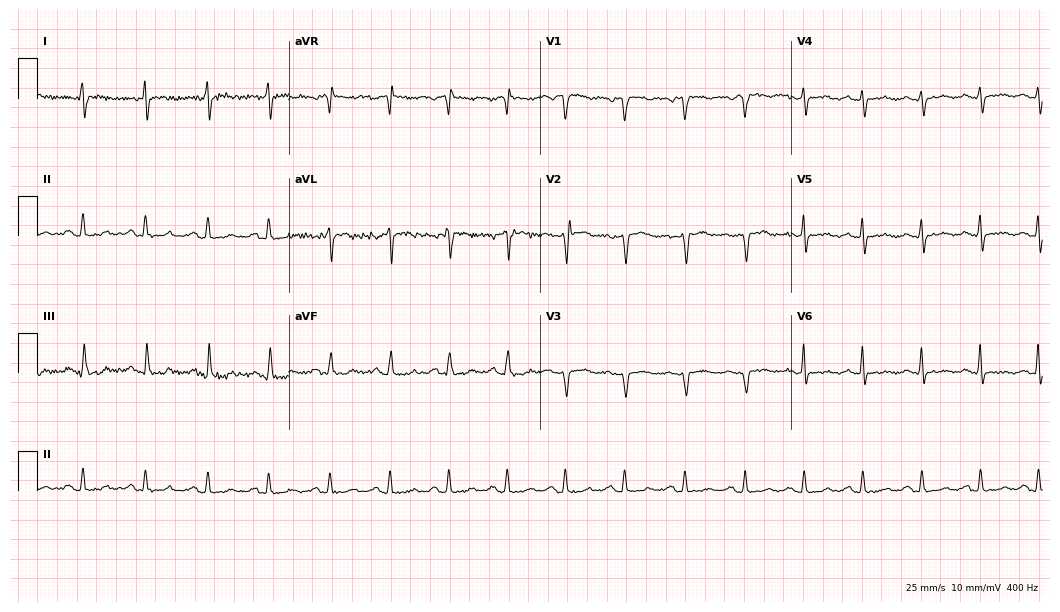
ECG — a woman, 36 years old. Screened for six findings — first-degree AV block, right bundle branch block, left bundle branch block, sinus bradycardia, atrial fibrillation, sinus tachycardia — none is recorded. Other findings, if any, are not listed.